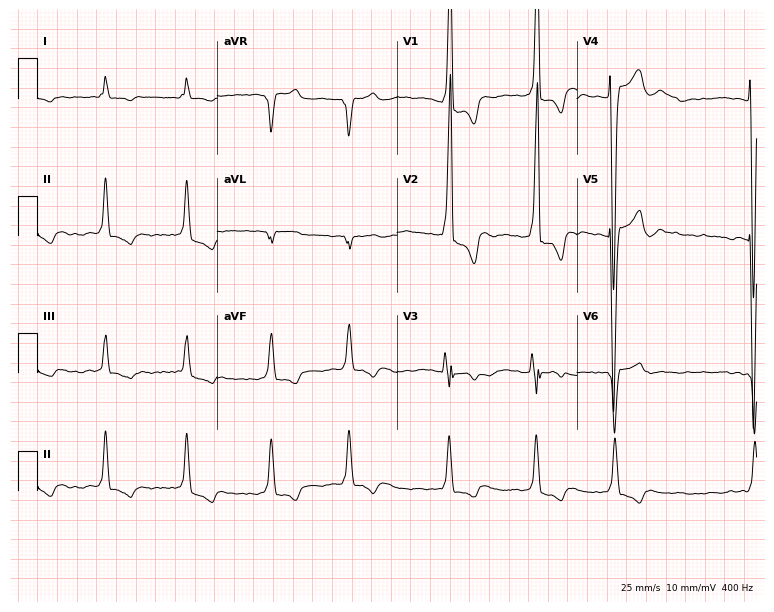
Standard 12-lead ECG recorded from a female patient, 51 years old (7.3-second recording at 400 Hz). None of these six findings is recorded: first-degree AV block, right bundle branch block, left bundle branch block, sinus bradycardia, atrial fibrillation, sinus tachycardia. Findings outside these six are not listed.